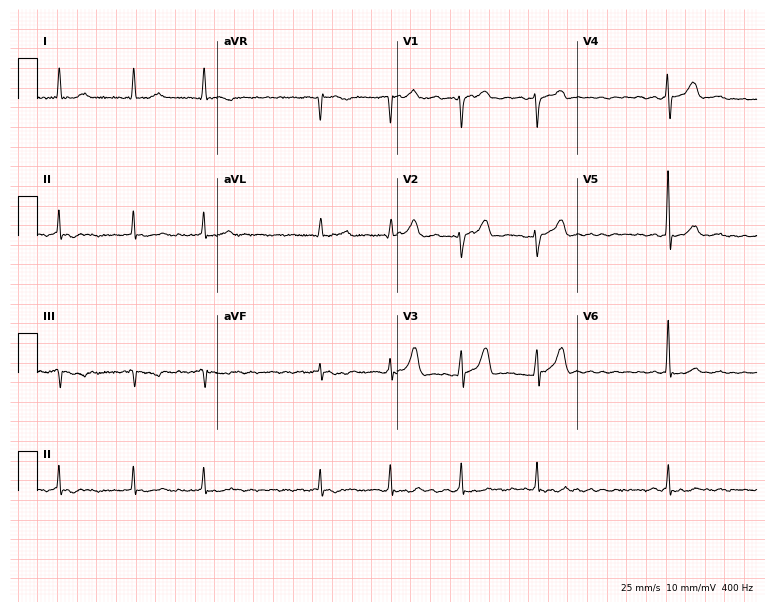
Electrocardiogram (7.3-second recording at 400 Hz), a 79-year-old female. Interpretation includes atrial fibrillation.